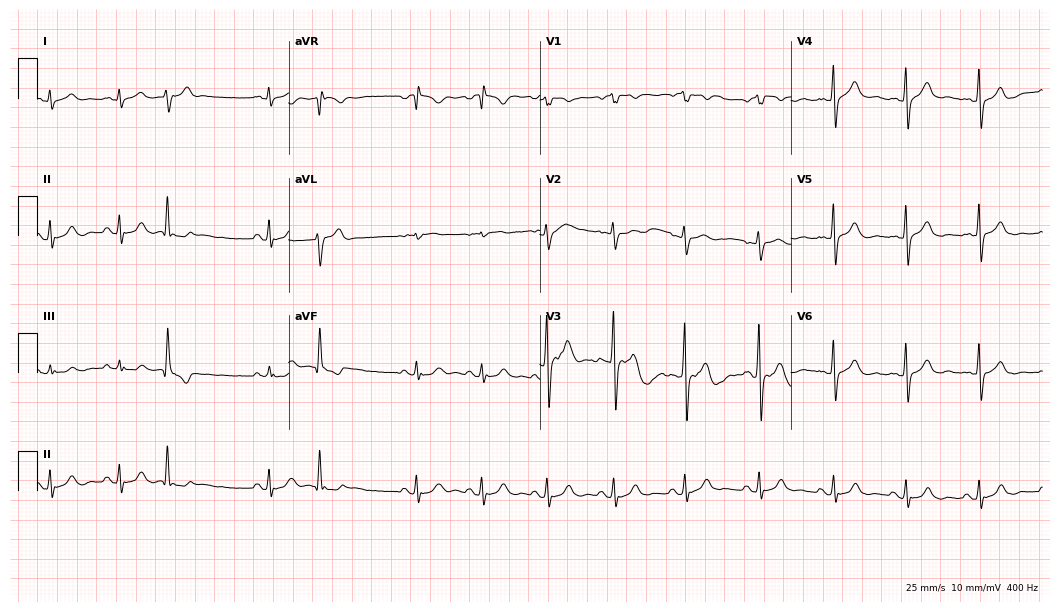
12-lead ECG from a 28-year-old male patient. Recorded interpretation: within normal limits.